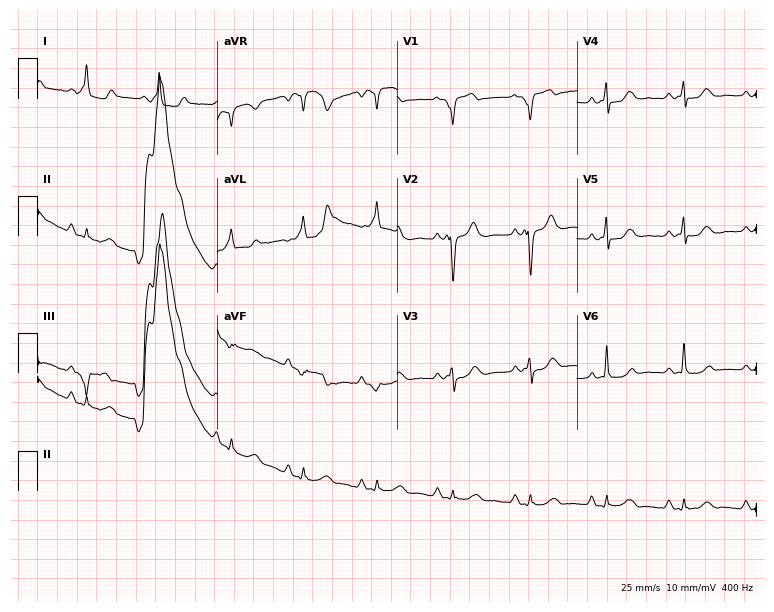
12-lead ECG from a 41-year-old female. Screened for six findings — first-degree AV block, right bundle branch block, left bundle branch block, sinus bradycardia, atrial fibrillation, sinus tachycardia — none is recorded.